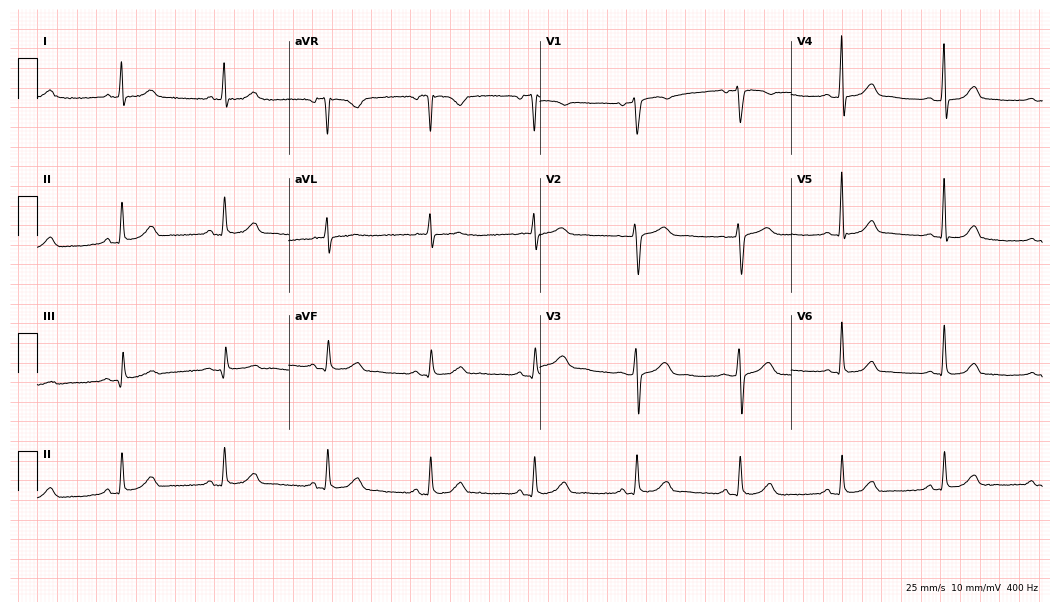
12-lead ECG from a female, 73 years old. Screened for six findings — first-degree AV block, right bundle branch block, left bundle branch block, sinus bradycardia, atrial fibrillation, sinus tachycardia — none is recorded.